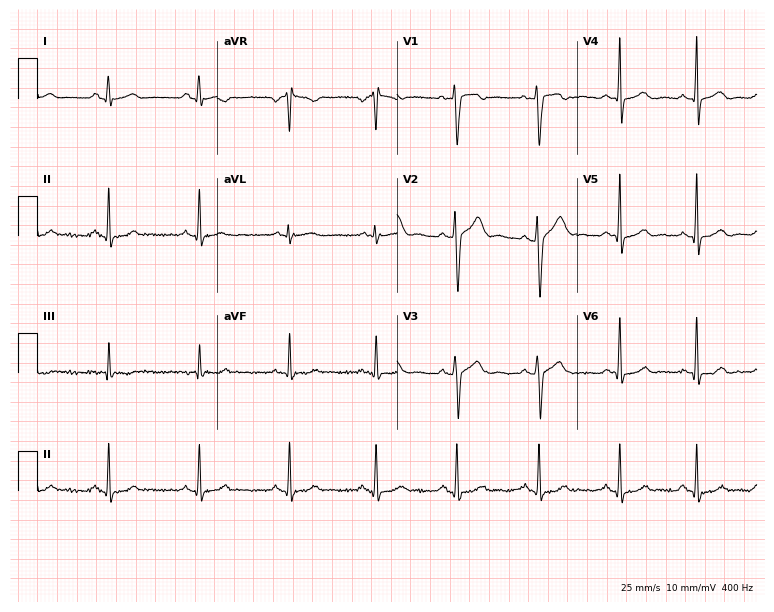
Standard 12-lead ECG recorded from a 24-year-old female. None of these six findings is recorded: first-degree AV block, right bundle branch block, left bundle branch block, sinus bradycardia, atrial fibrillation, sinus tachycardia. Other findings, if any, are not listed.